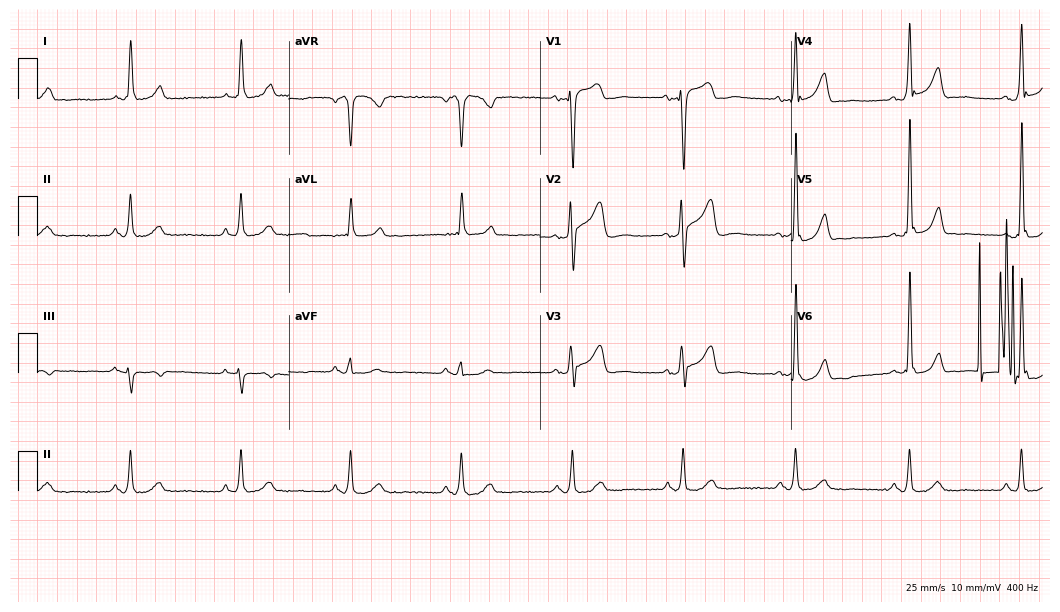
Standard 12-lead ECG recorded from a man, 63 years old. None of these six findings is recorded: first-degree AV block, right bundle branch block (RBBB), left bundle branch block (LBBB), sinus bradycardia, atrial fibrillation (AF), sinus tachycardia. Other findings, if any, are not listed.